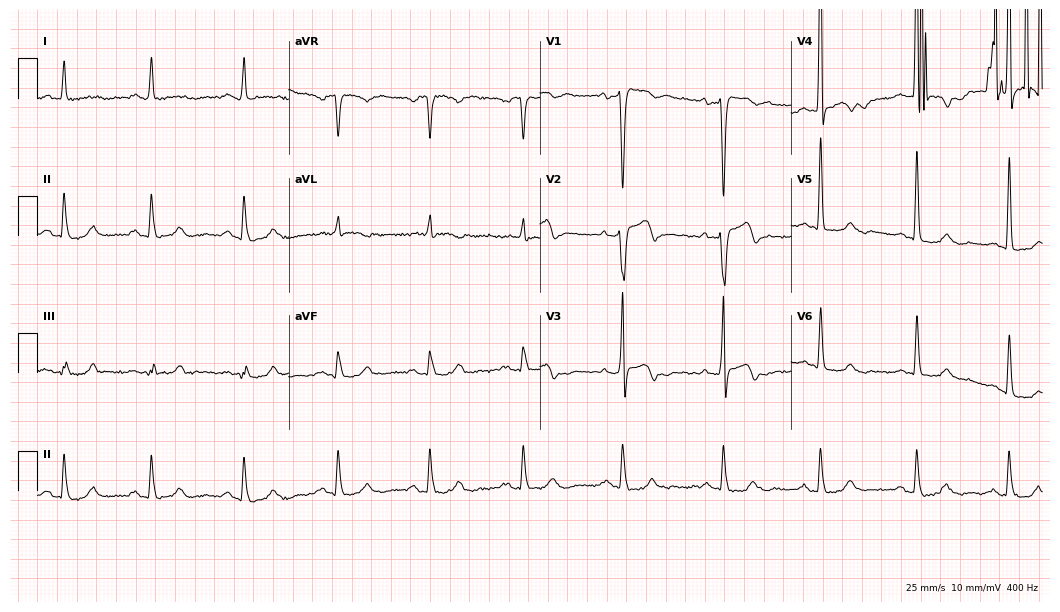
ECG (10.2-second recording at 400 Hz) — a male patient, 59 years old. Screened for six findings — first-degree AV block, right bundle branch block (RBBB), left bundle branch block (LBBB), sinus bradycardia, atrial fibrillation (AF), sinus tachycardia — none is recorded.